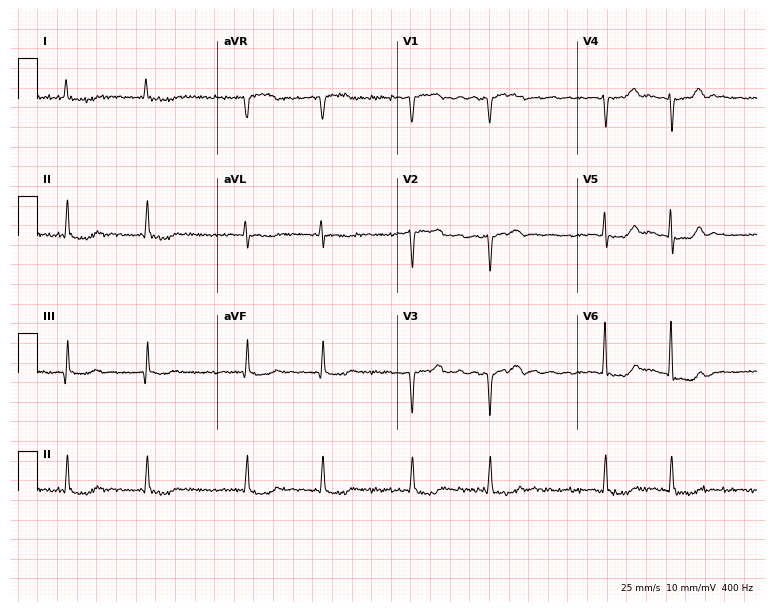
12-lead ECG (7.3-second recording at 400 Hz) from a female patient, 84 years old. Findings include atrial fibrillation.